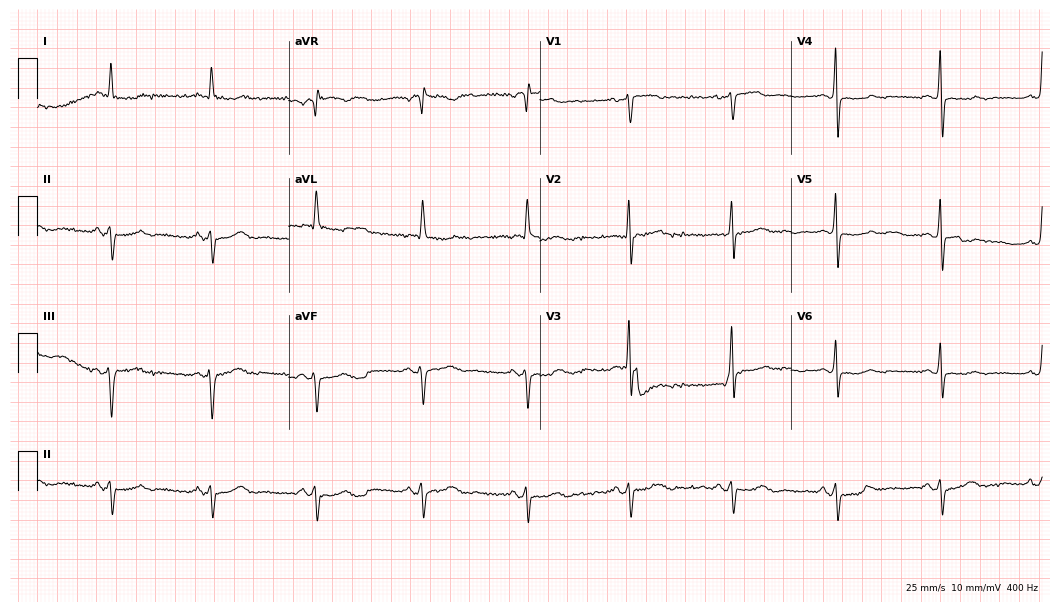
12-lead ECG (10.2-second recording at 400 Hz) from a 65-year-old female. Screened for six findings — first-degree AV block, right bundle branch block, left bundle branch block, sinus bradycardia, atrial fibrillation, sinus tachycardia — none is recorded.